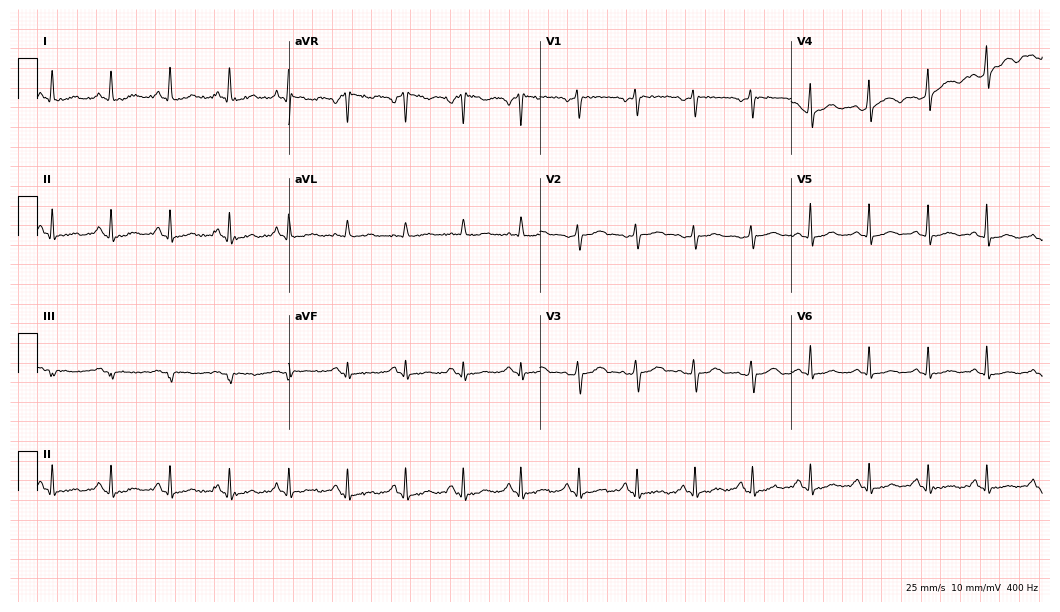
Electrocardiogram (10.2-second recording at 400 Hz), a female, 44 years old. Interpretation includes sinus tachycardia (a sinus rate of 100 beats per minute or more).